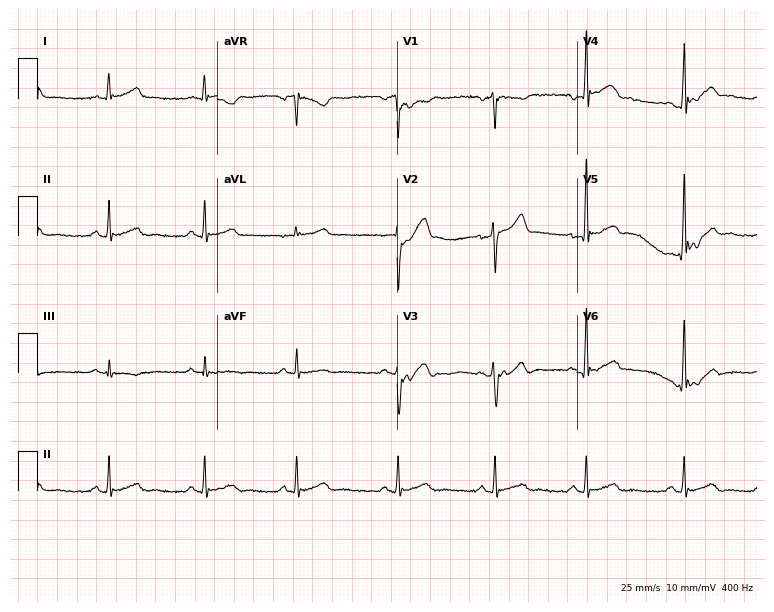
Resting 12-lead electrocardiogram (7.3-second recording at 400 Hz). Patient: a 42-year-old man. Read as a normal ECG.